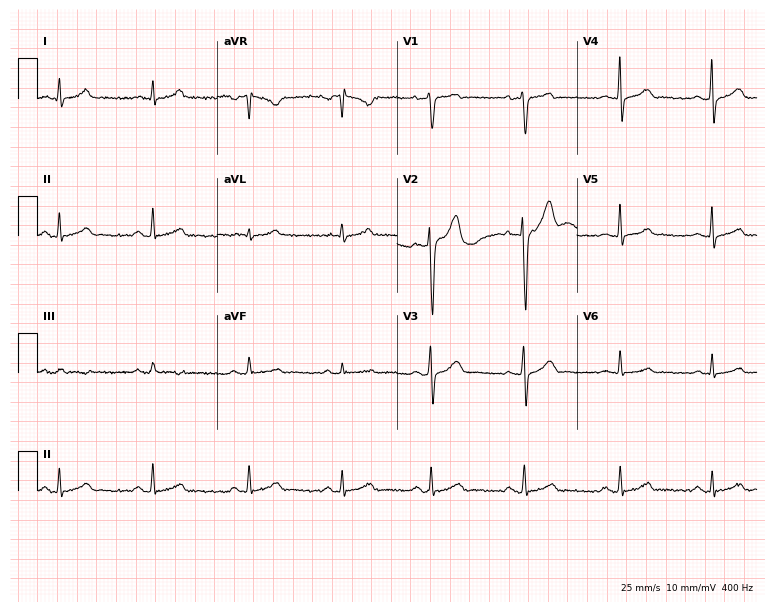
Resting 12-lead electrocardiogram (7.3-second recording at 400 Hz). Patient: a 35-year-old male. Read as a normal ECG.